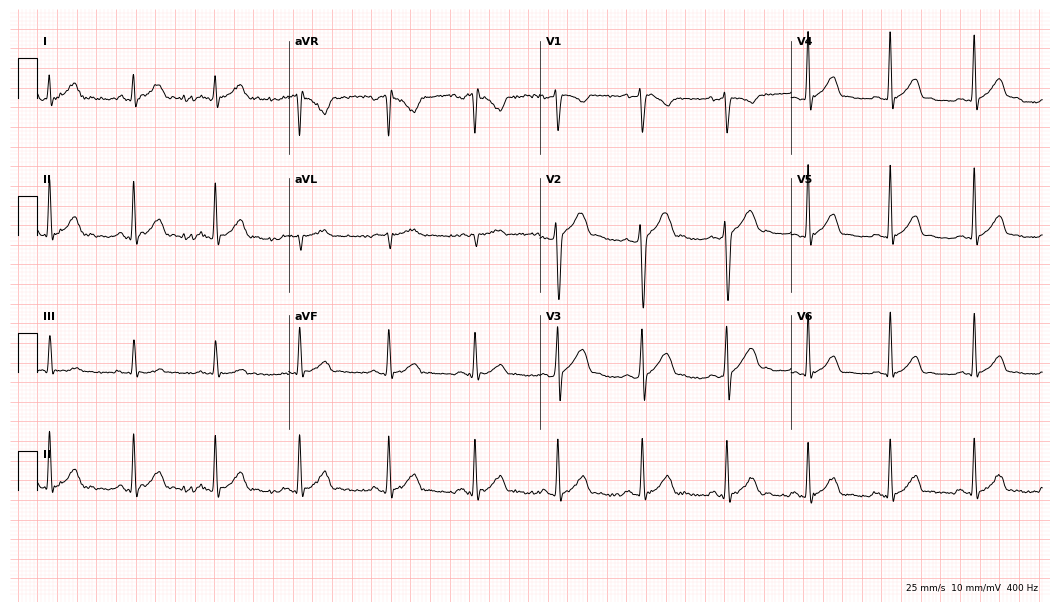
Electrocardiogram, a 29-year-old male. Overall reading on record: normal ECG.